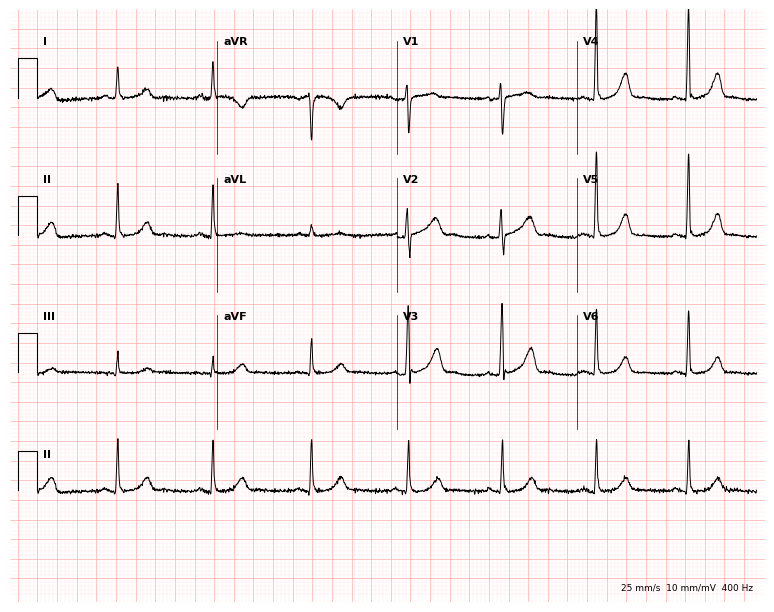
ECG (7.3-second recording at 400 Hz) — a 59-year-old female patient. Labelled as a normal ECG.